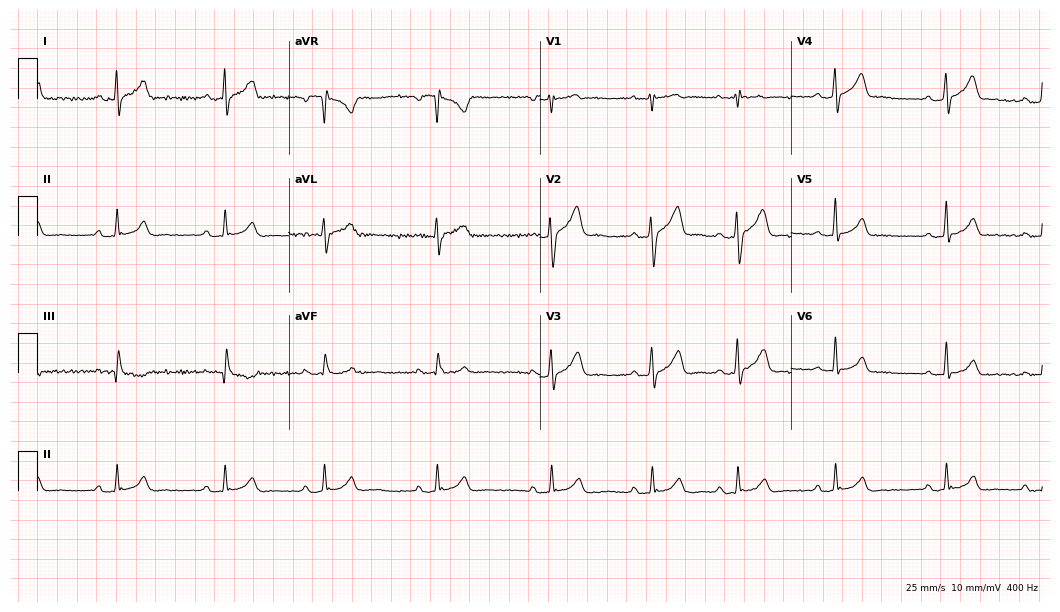
ECG (10.2-second recording at 400 Hz) — a male, 25 years old. Labelled as a normal ECG.